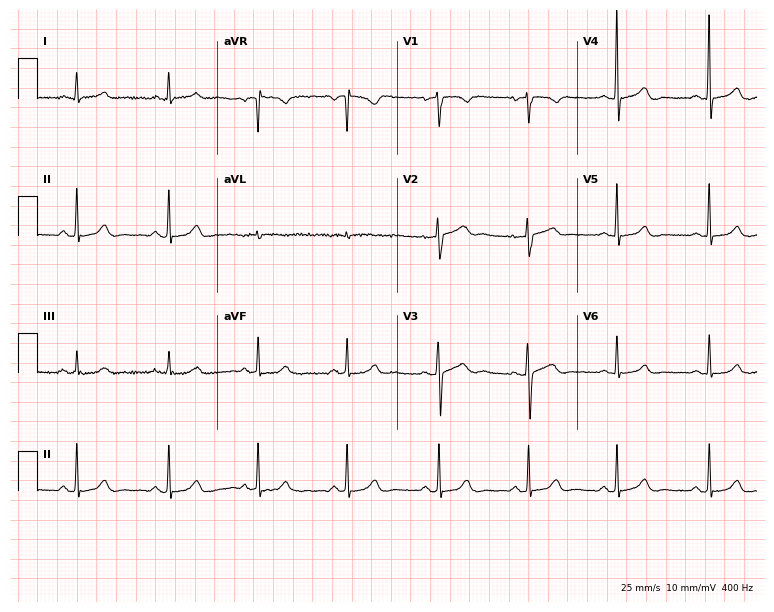
Electrocardiogram (7.3-second recording at 400 Hz), a female, 40 years old. Overall reading on record: normal ECG.